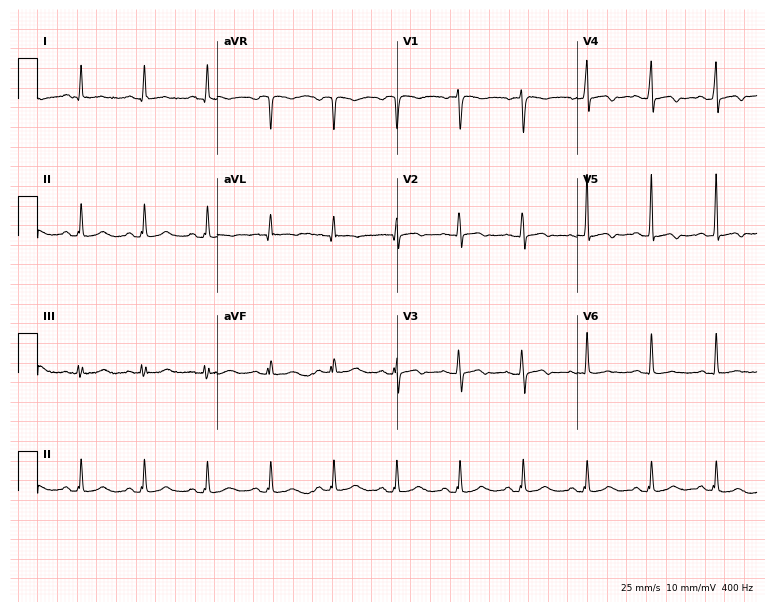
12-lead ECG from a 45-year-old female patient. No first-degree AV block, right bundle branch block, left bundle branch block, sinus bradycardia, atrial fibrillation or sinus tachycardia recorded for this tracing.